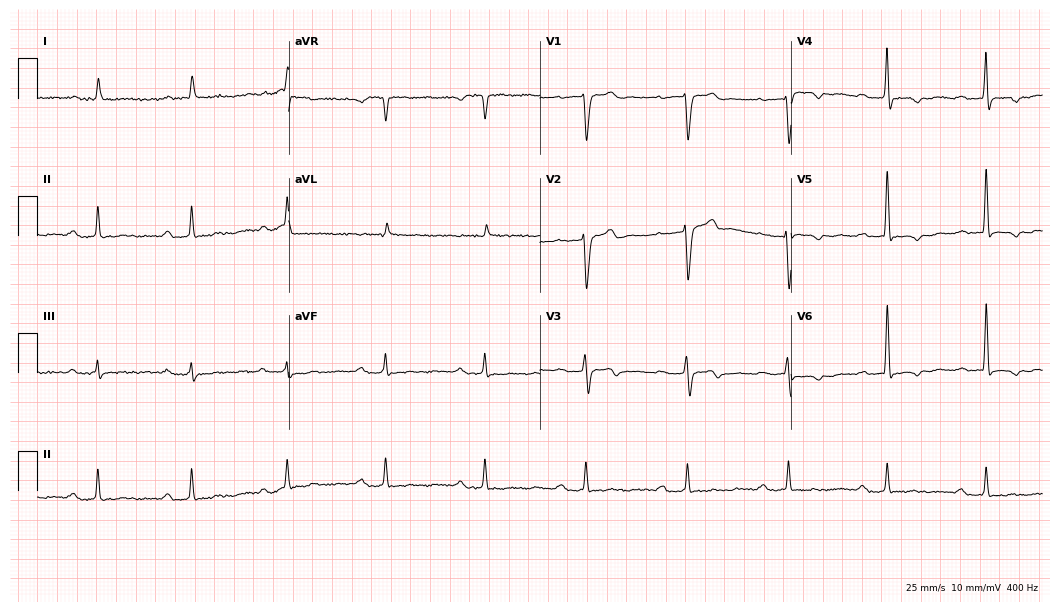
12-lead ECG from a male, 84 years old. Shows first-degree AV block.